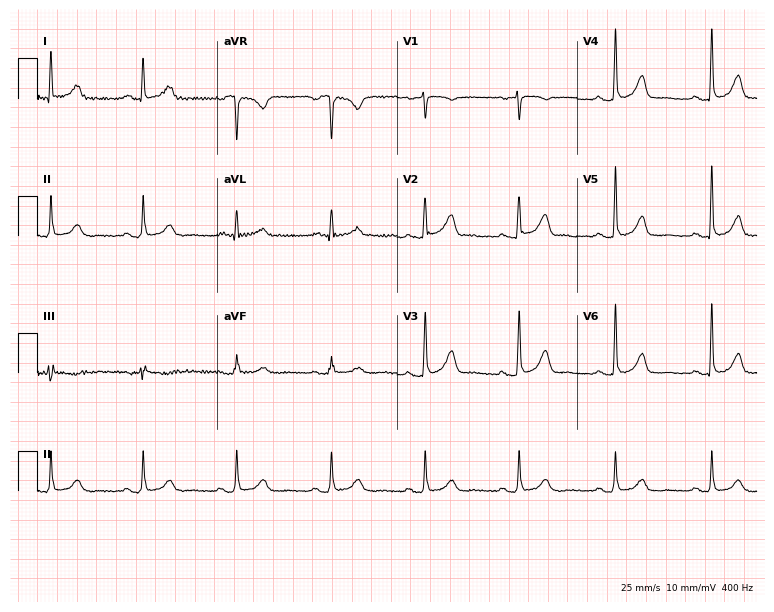
Resting 12-lead electrocardiogram. Patient: a 75-year-old woman. Read as a normal ECG.